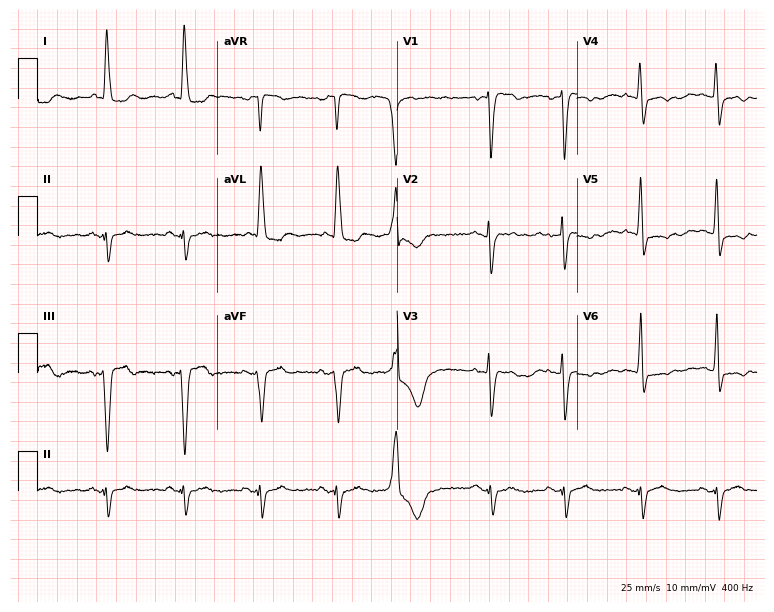
12-lead ECG from a 79-year-old female patient. No first-degree AV block, right bundle branch block, left bundle branch block, sinus bradycardia, atrial fibrillation or sinus tachycardia recorded for this tracing.